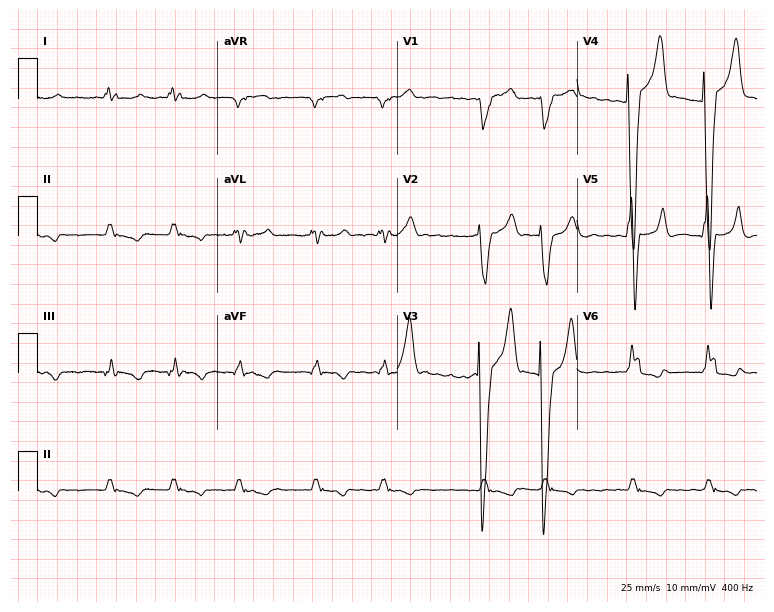
12-lead ECG from a male patient, 66 years old. Shows left bundle branch block, atrial fibrillation.